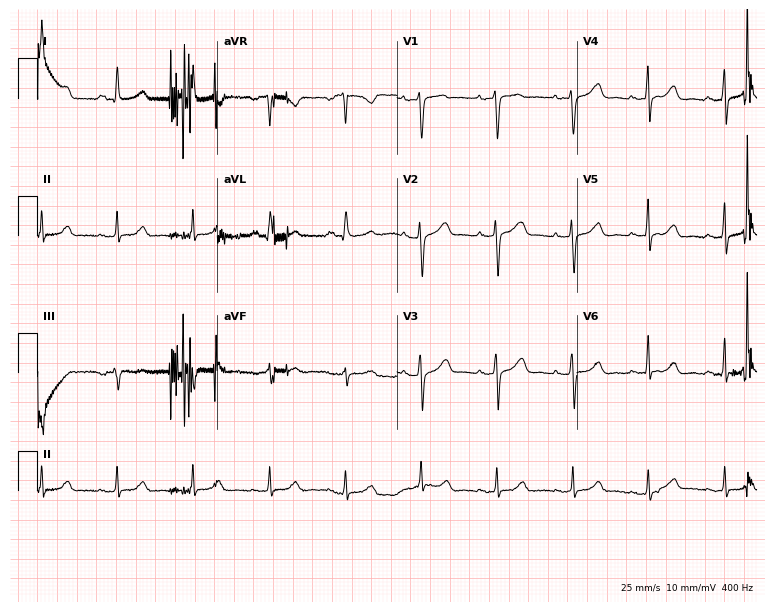
12-lead ECG (7.3-second recording at 400 Hz) from a 43-year-old woman. Labelled as a normal ECG.